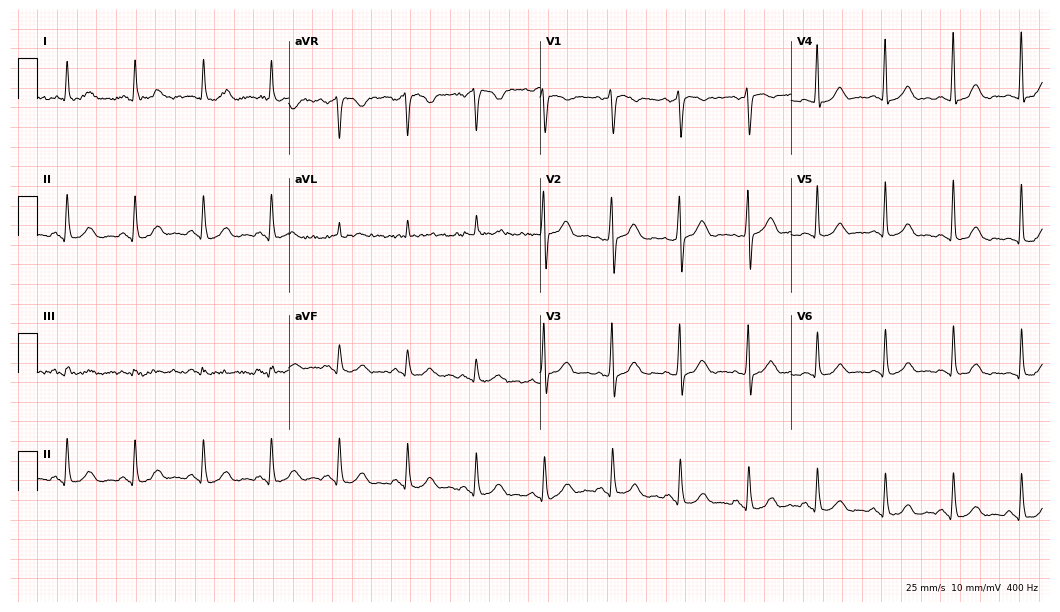
Electrocardiogram, a female, 71 years old. Of the six screened findings (first-degree AV block, right bundle branch block, left bundle branch block, sinus bradycardia, atrial fibrillation, sinus tachycardia), none is recorded. Findings outside these six are not listed.